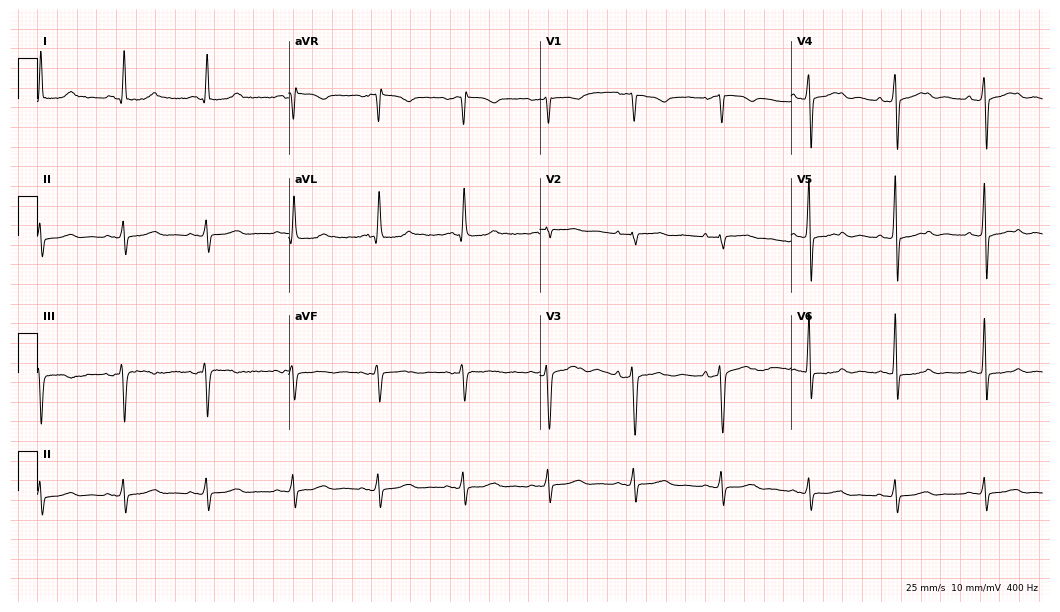
12-lead ECG from a male patient, 79 years old. No first-degree AV block, right bundle branch block (RBBB), left bundle branch block (LBBB), sinus bradycardia, atrial fibrillation (AF) or sinus tachycardia recorded for this tracing. Only these six findings were labelled.